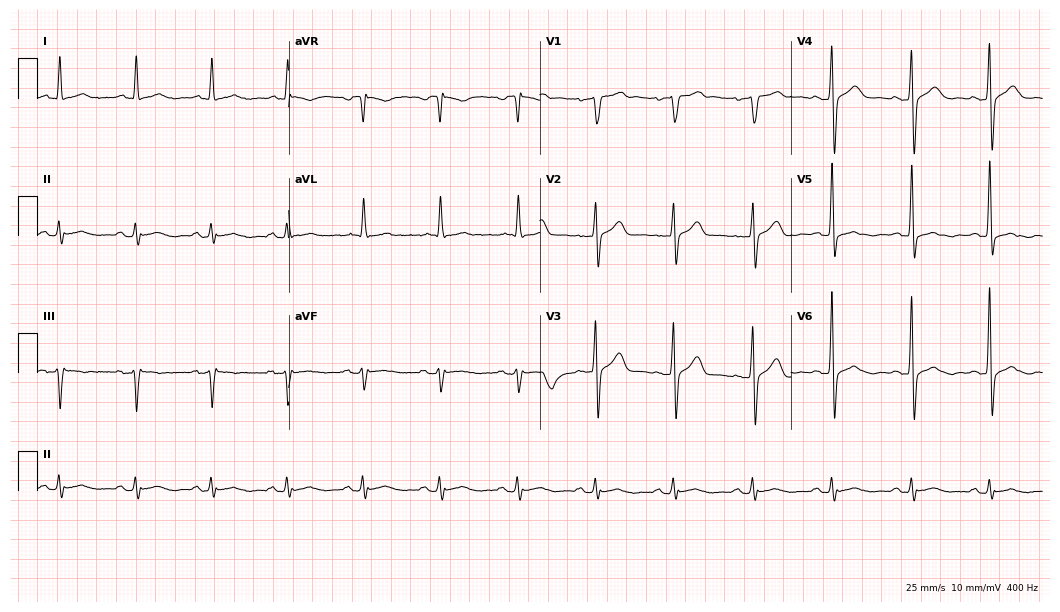
12-lead ECG from a 63-year-old male patient. No first-degree AV block, right bundle branch block (RBBB), left bundle branch block (LBBB), sinus bradycardia, atrial fibrillation (AF) or sinus tachycardia recorded for this tracing. Findings outside these six are not listed.